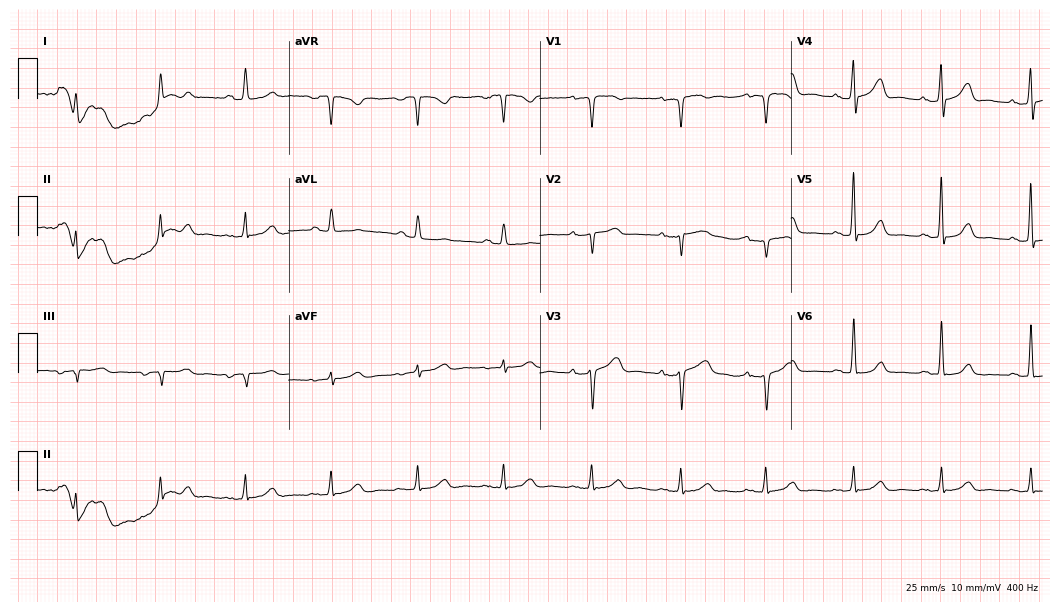
12-lead ECG from a 44-year-old female patient. Screened for six findings — first-degree AV block, right bundle branch block (RBBB), left bundle branch block (LBBB), sinus bradycardia, atrial fibrillation (AF), sinus tachycardia — none is recorded.